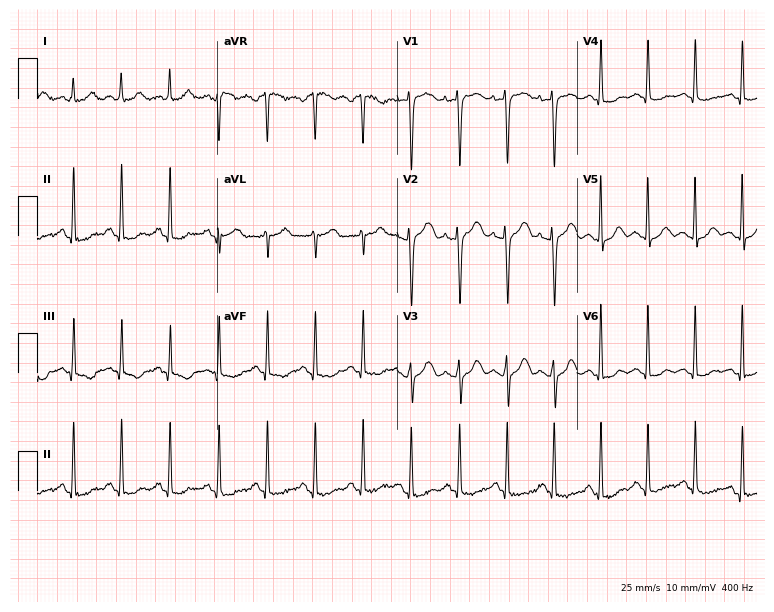
ECG — a 38-year-old woman. Findings include sinus tachycardia (a sinus rate of 100 beats per minute or more).